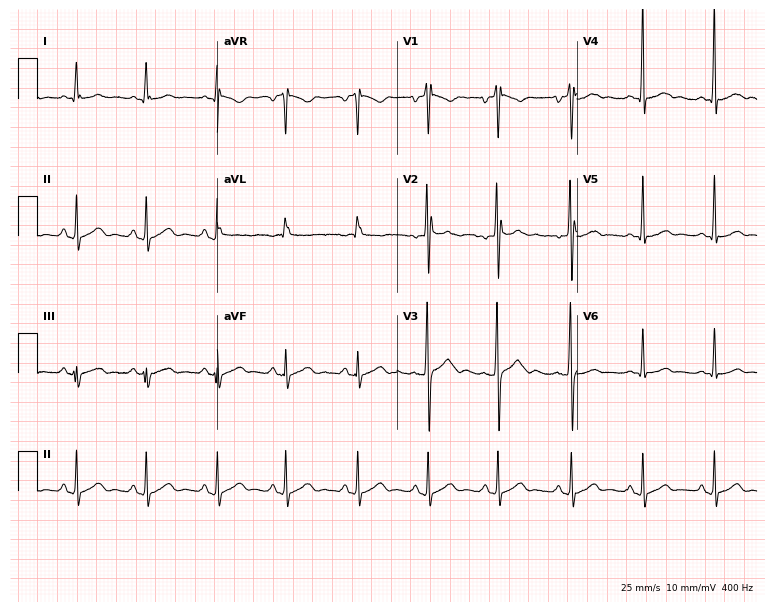
Standard 12-lead ECG recorded from a man, 18 years old (7.3-second recording at 400 Hz). Read as a normal ECG.